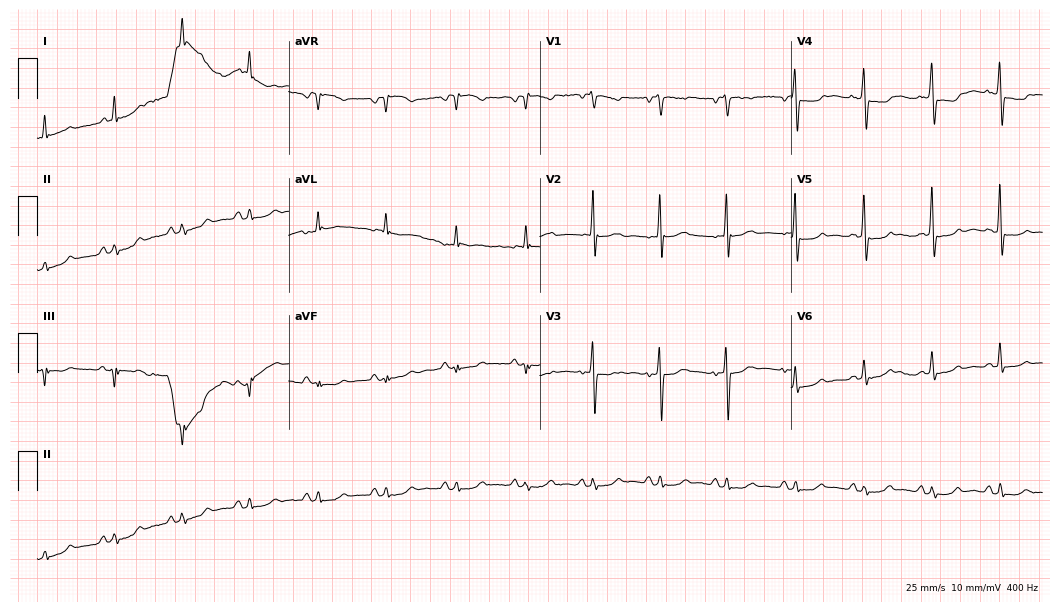
ECG — a male, 56 years old. Screened for six findings — first-degree AV block, right bundle branch block, left bundle branch block, sinus bradycardia, atrial fibrillation, sinus tachycardia — none is recorded. Only these six findings were labelled.